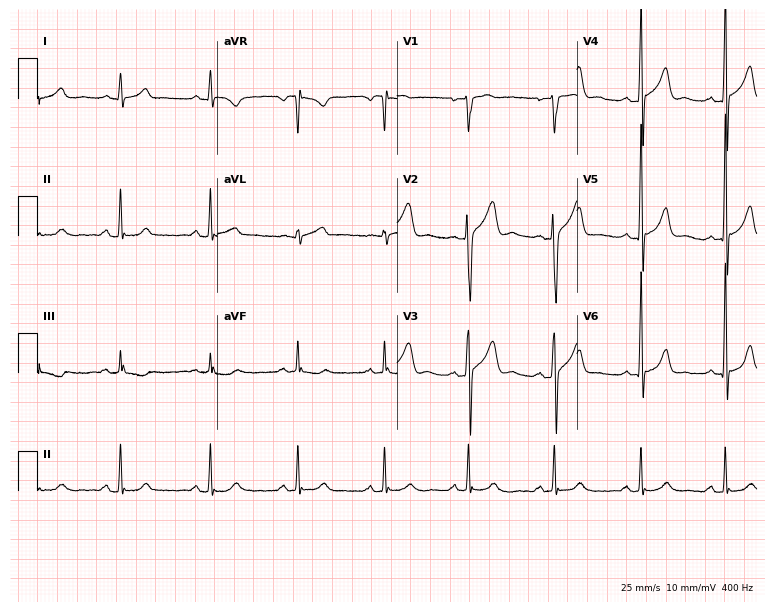
Resting 12-lead electrocardiogram (7.3-second recording at 400 Hz). Patient: a 43-year-old male. Read as a normal ECG.